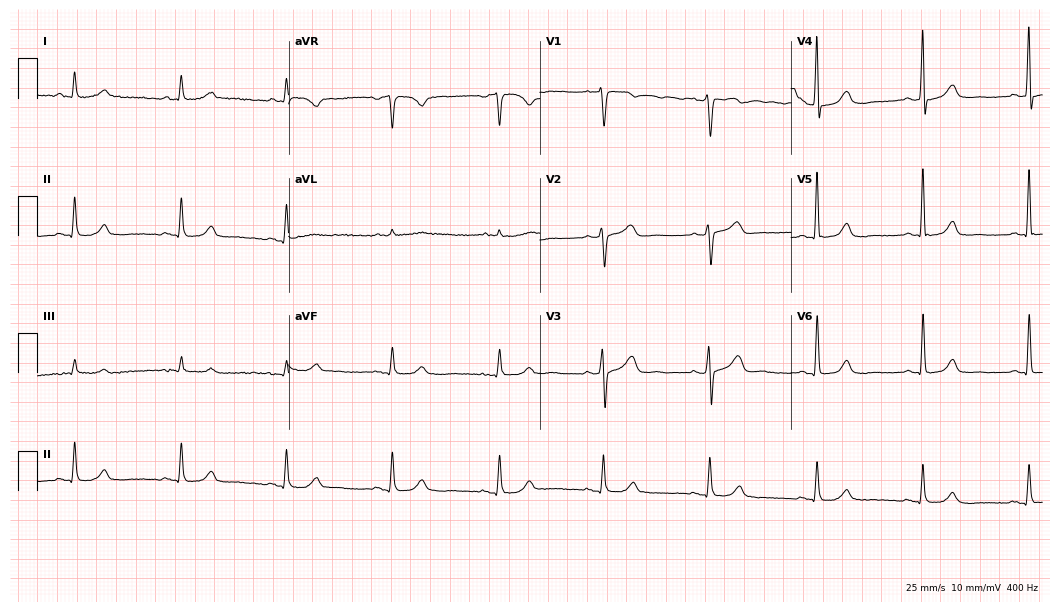
Electrocardiogram (10.2-second recording at 400 Hz), a male, 71 years old. Overall reading on record: normal ECG.